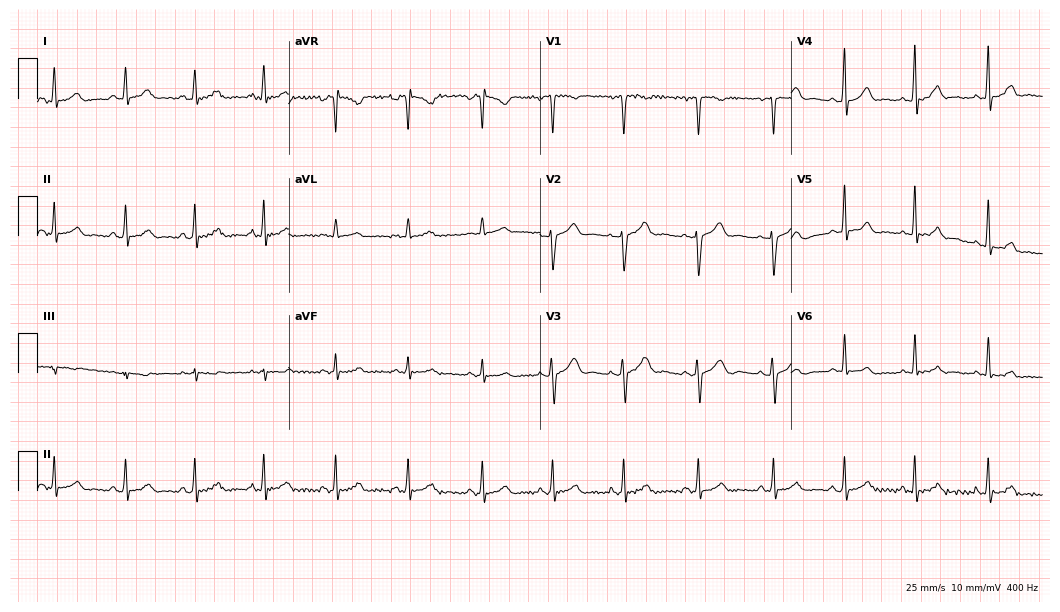
Electrocardiogram, a 27-year-old female patient. Overall reading on record: normal ECG.